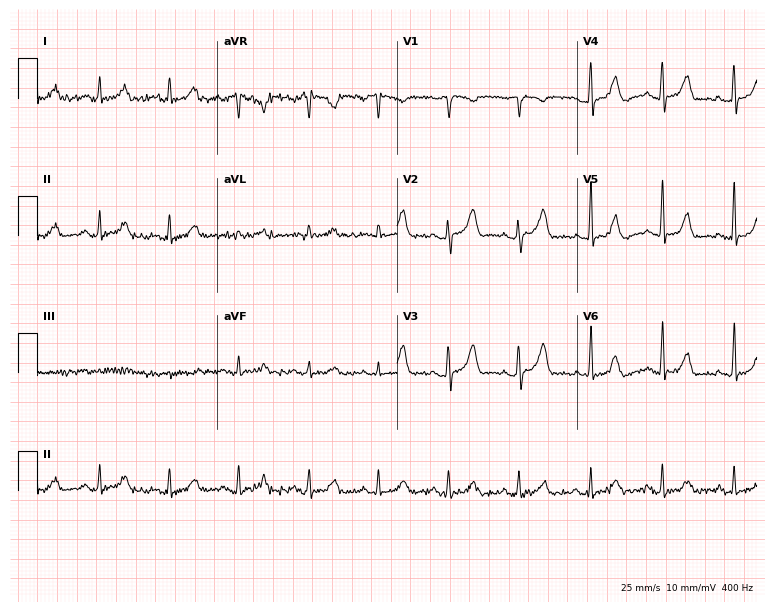
Standard 12-lead ECG recorded from a female, 45 years old (7.3-second recording at 400 Hz). Read as a normal ECG.